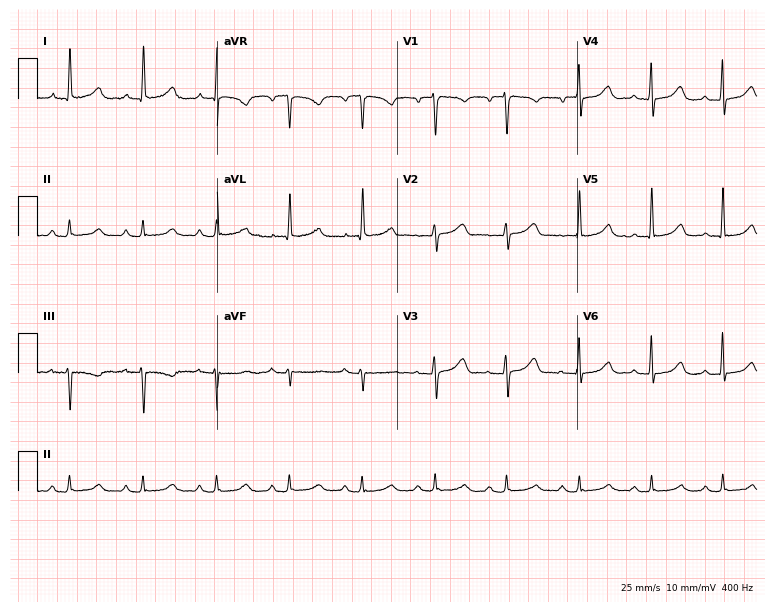
ECG — a woman, 76 years old. Labelled as a normal ECG.